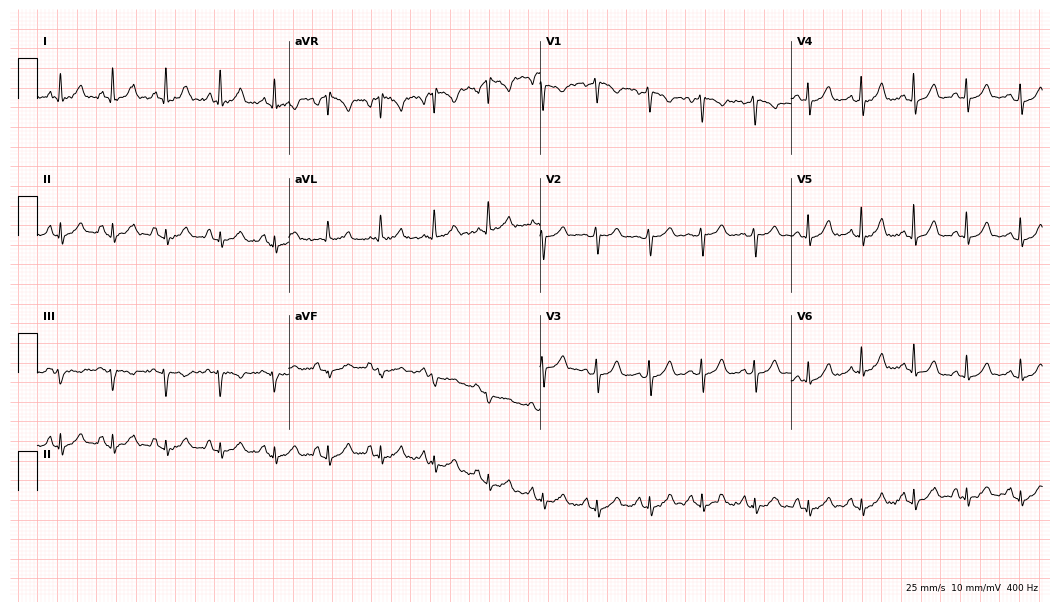
Standard 12-lead ECG recorded from a female, 40 years old (10.2-second recording at 400 Hz). The tracing shows sinus tachycardia (a sinus rate of 100 beats per minute or more).